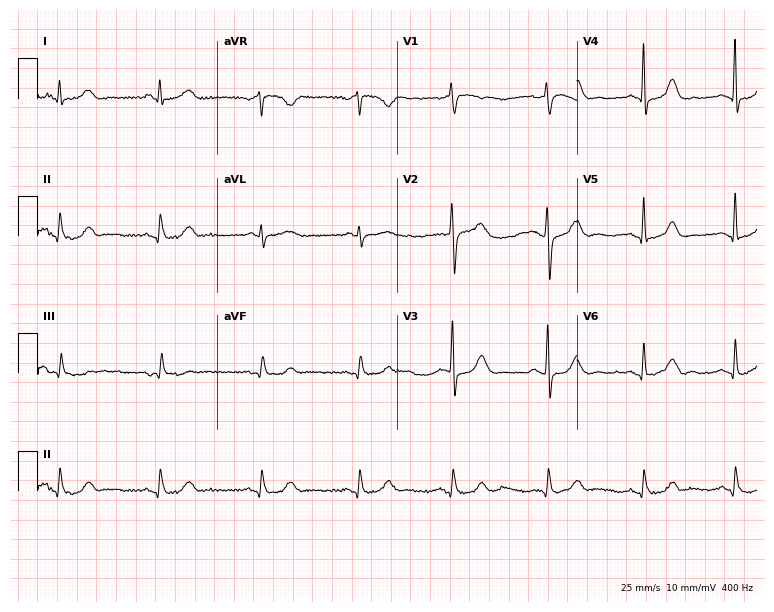
Electrocardiogram (7.3-second recording at 400 Hz), an 81-year-old male. Overall reading on record: normal ECG.